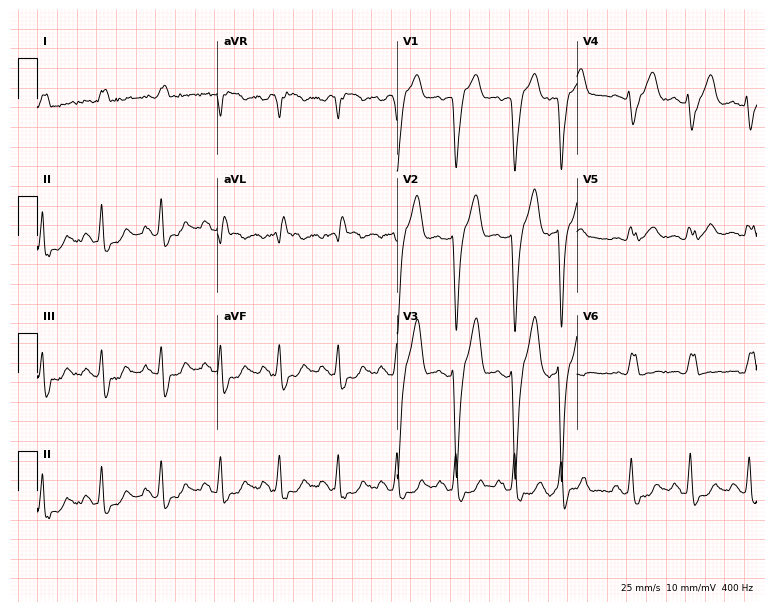
Electrocardiogram (7.3-second recording at 400 Hz), a 63-year-old male patient. Interpretation includes left bundle branch block, sinus tachycardia (a sinus rate of 100 beats per minute or more).